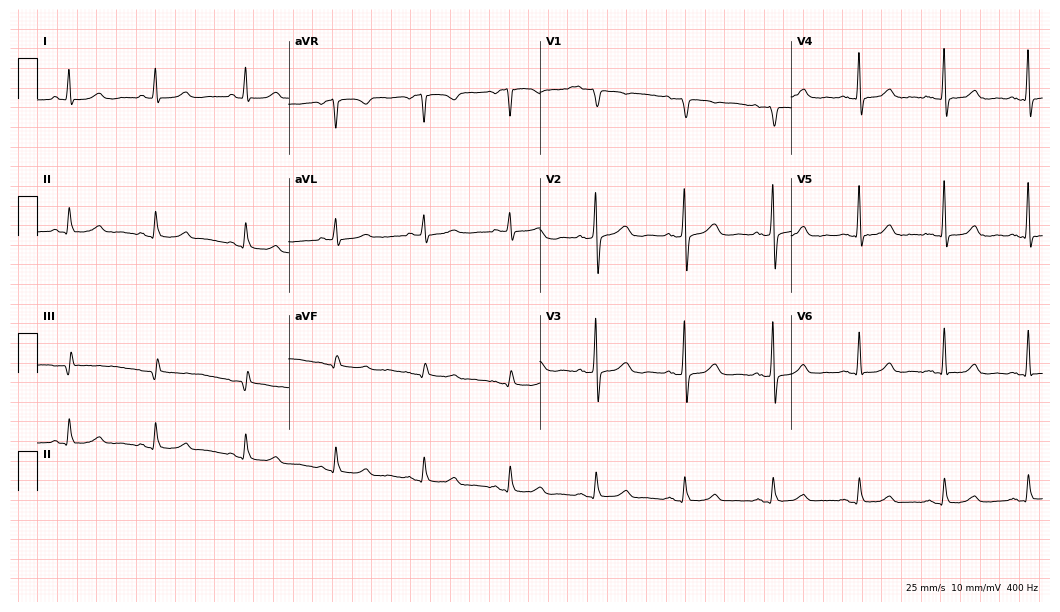
Resting 12-lead electrocardiogram. Patient: a 60-year-old female. None of these six findings is recorded: first-degree AV block, right bundle branch block, left bundle branch block, sinus bradycardia, atrial fibrillation, sinus tachycardia.